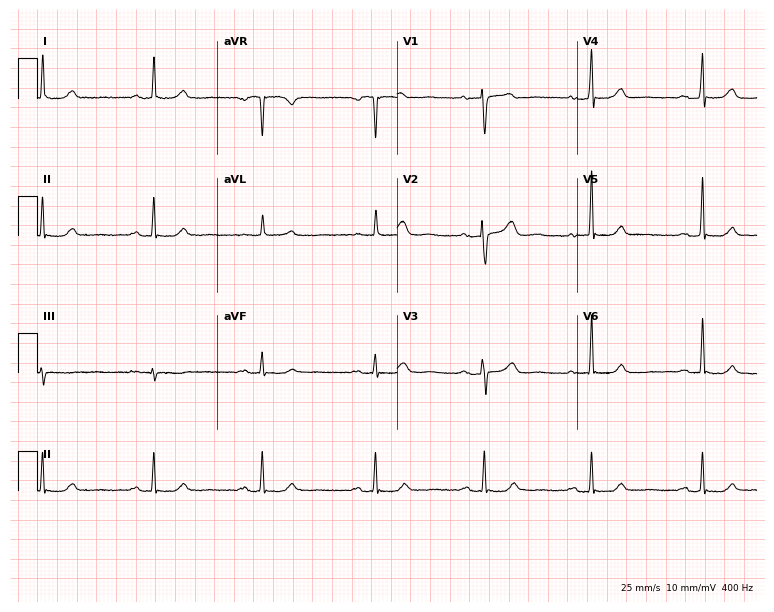
Standard 12-lead ECG recorded from a 56-year-old female patient. Read as a normal ECG.